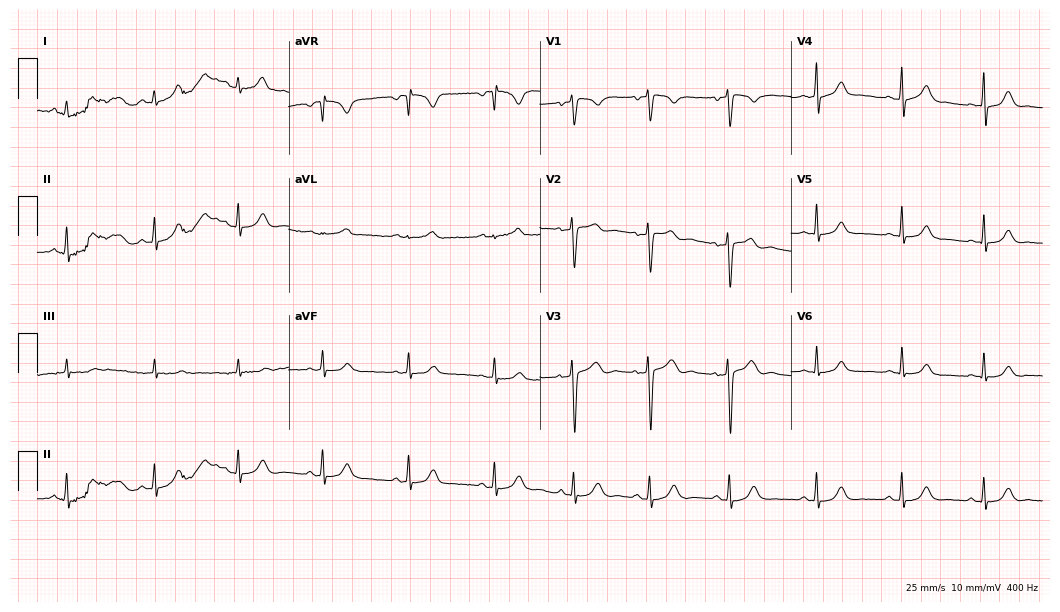
Resting 12-lead electrocardiogram. Patient: a 44-year-old female. Read as a normal ECG.